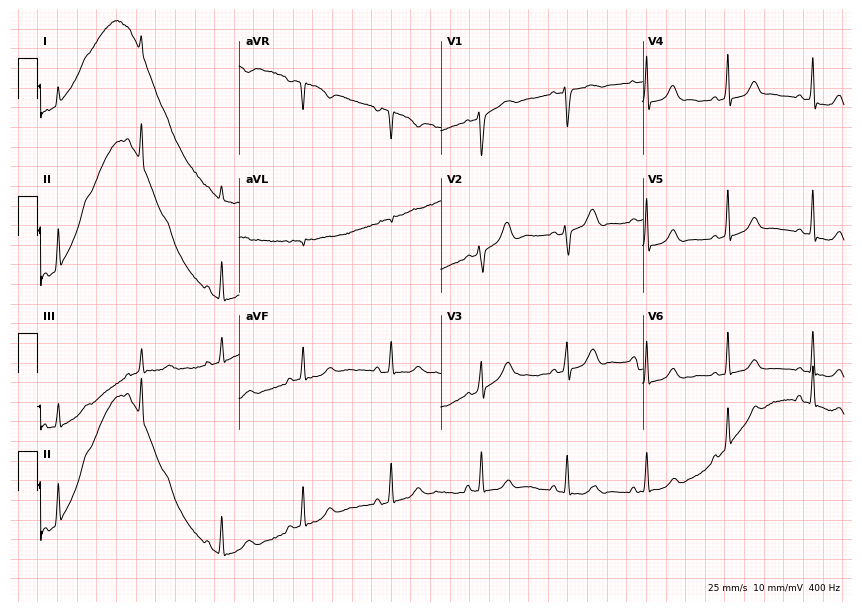
Electrocardiogram, a woman, 39 years old. Overall reading on record: normal ECG.